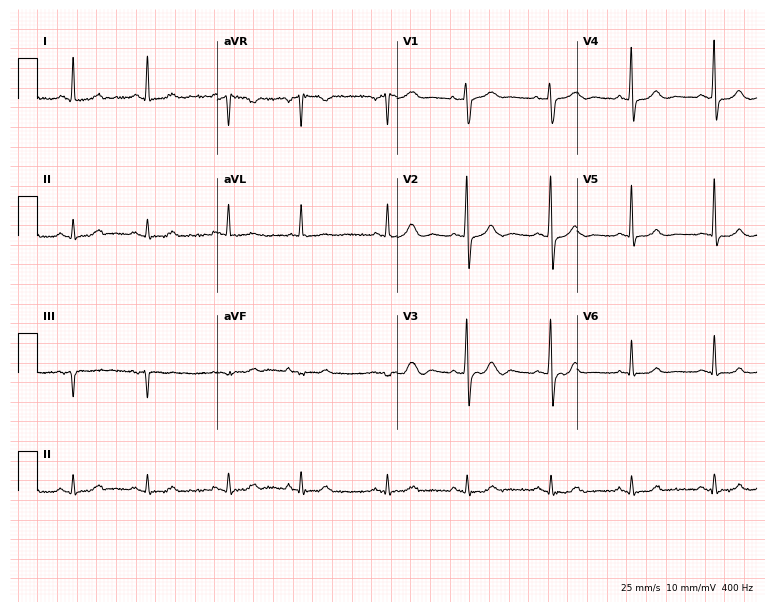
12-lead ECG from a female, 82 years old. No first-degree AV block, right bundle branch block, left bundle branch block, sinus bradycardia, atrial fibrillation or sinus tachycardia recorded for this tracing. Only these six findings were labelled.